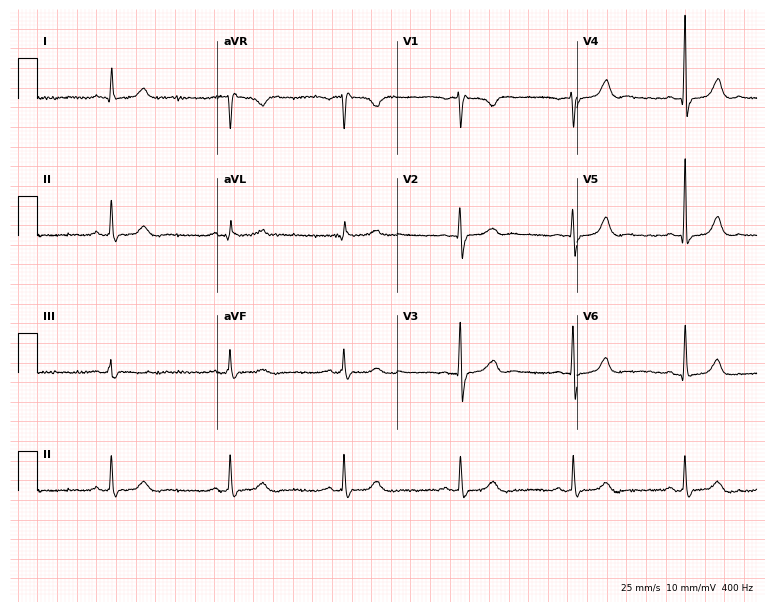
12-lead ECG from a 38-year-old male. Screened for six findings — first-degree AV block, right bundle branch block, left bundle branch block, sinus bradycardia, atrial fibrillation, sinus tachycardia — none is recorded. Findings outside these six are not listed.